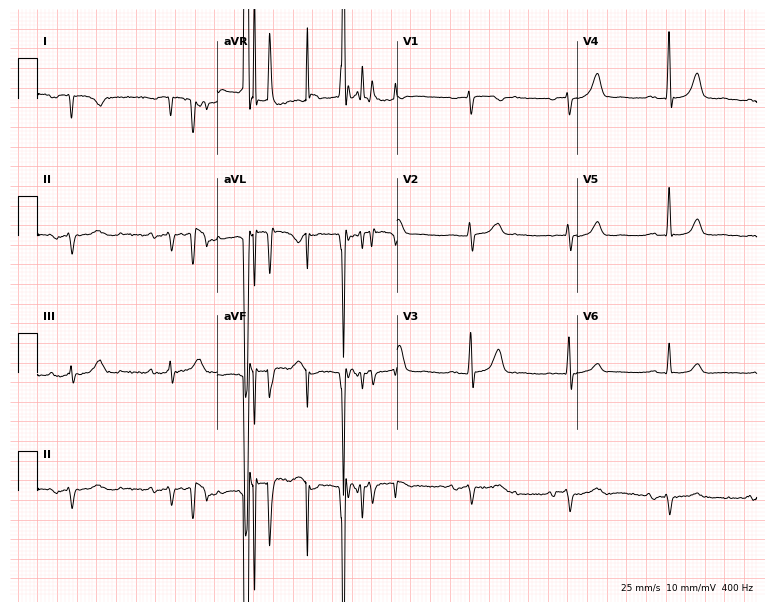
ECG (7.3-second recording at 400 Hz) — an 82-year-old male patient. Screened for six findings — first-degree AV block, right bundle branch block (RBBB), left bundle branch block (LBBB), sinus bradycardia, atrial fibrillation (AF), sinus tachycardia — none is recorded.